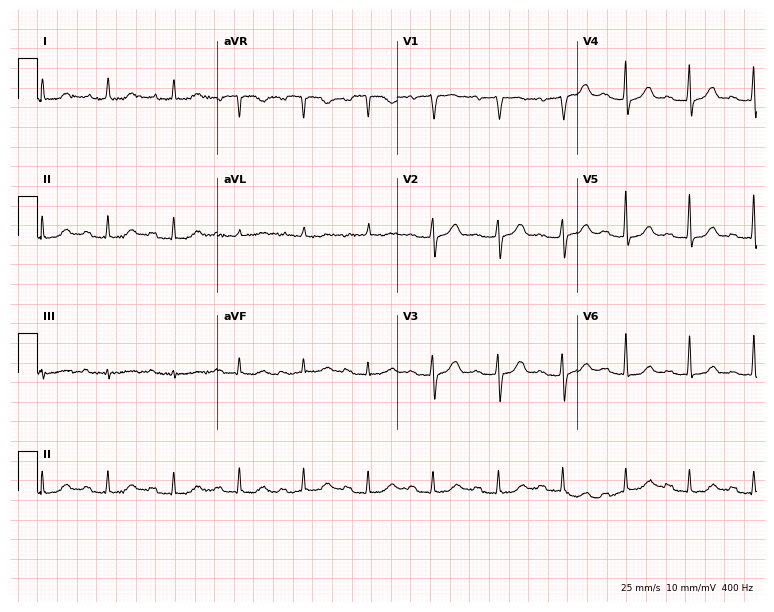
Resting 12-lead electrocardiogram (7.3-second recording at 400 Hz). Patient: a man, 83 years old. The tracing shows first-degree AV block.